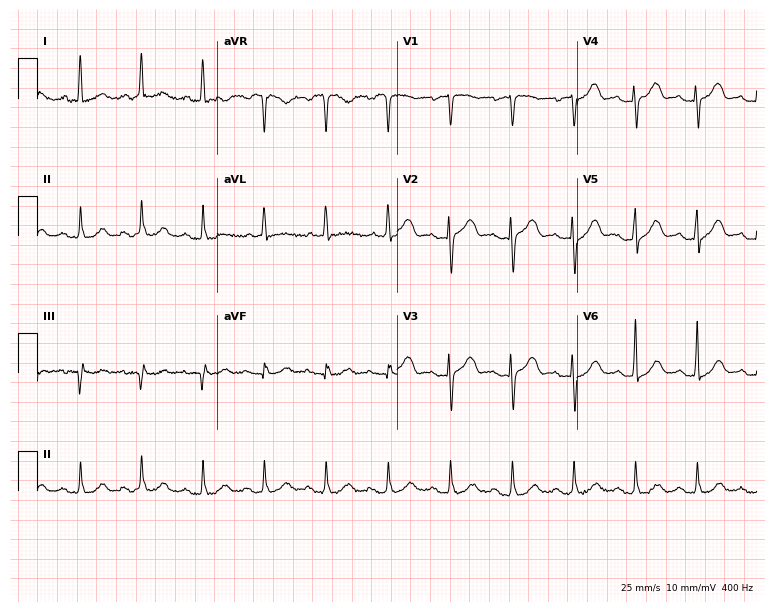
12-lead ECG from a female patient, 81 years old (7.3-second recording at 400 Hz). Recorded interpretation: within normal limits.